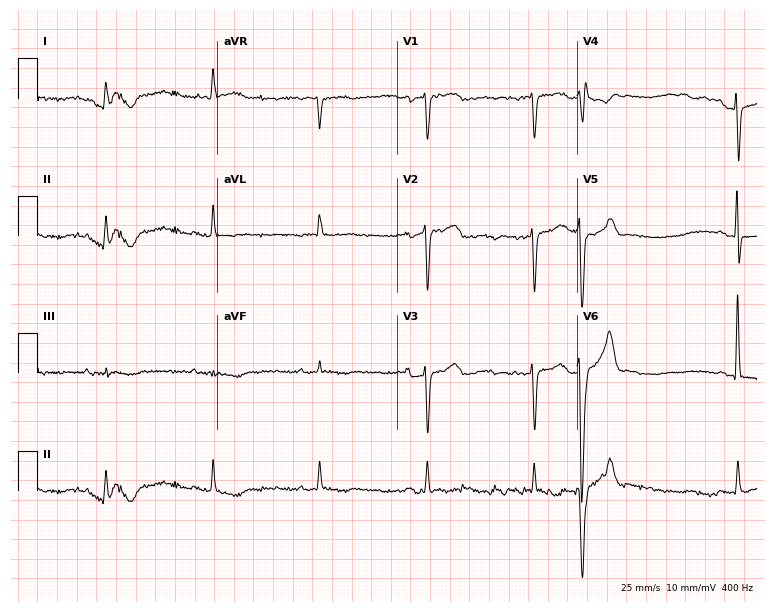
12-lead ECG (7.3-second recording at 400 Hz) from a 79-year-old female patient. Labelled as a normal ECG.